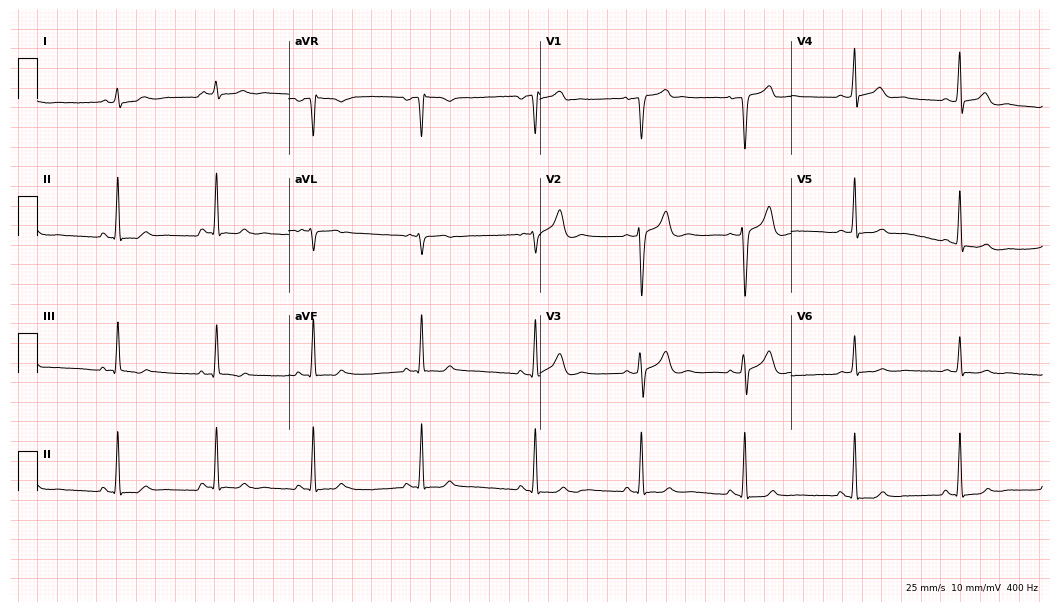
ECG (10.2-second recording at 400 Hz) — a male, 36 years old. Screened for six findings — first-degree AV block, right bundle branch block, left bundle branch block, sinus bradycardia, atrial fibrillation, sinus tachycardia — none is recorded.